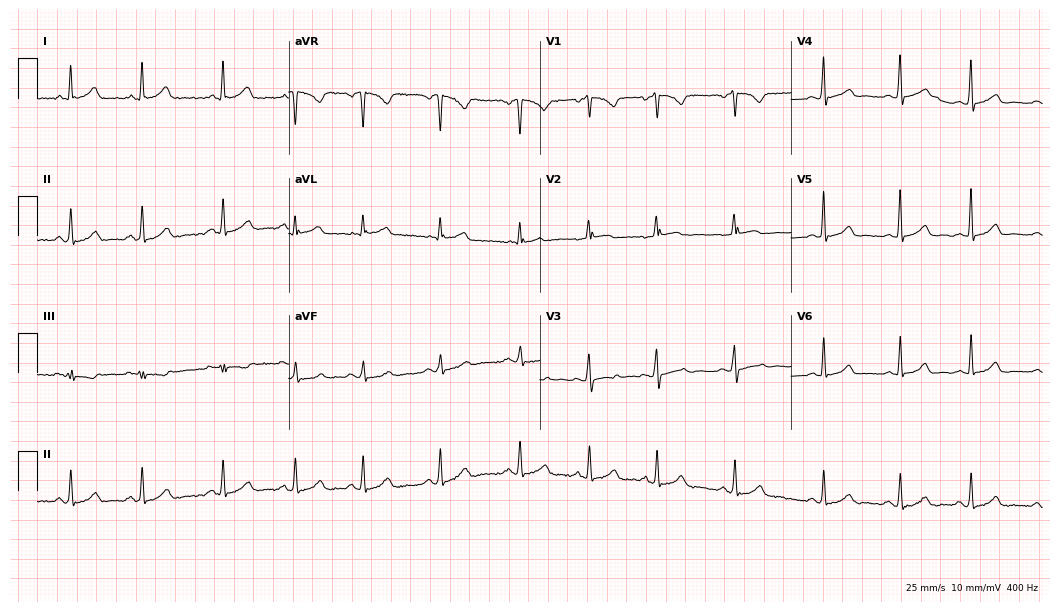
Standard 12-lead ECG recorded from a female, 30 years old (10.2-second recording at 400 Hz). Read as a normal ECG.